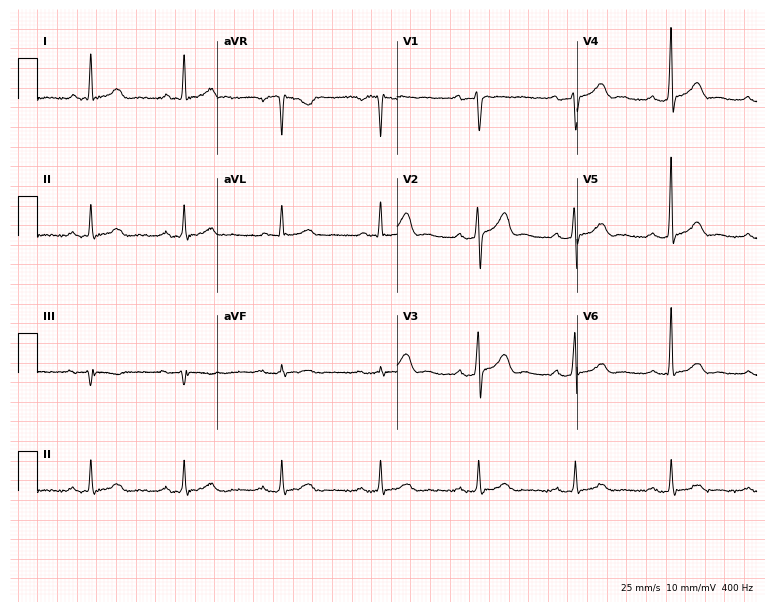
Standard 12-lead ECG recorded from a 48-year-old male. Read as a normal ECG.